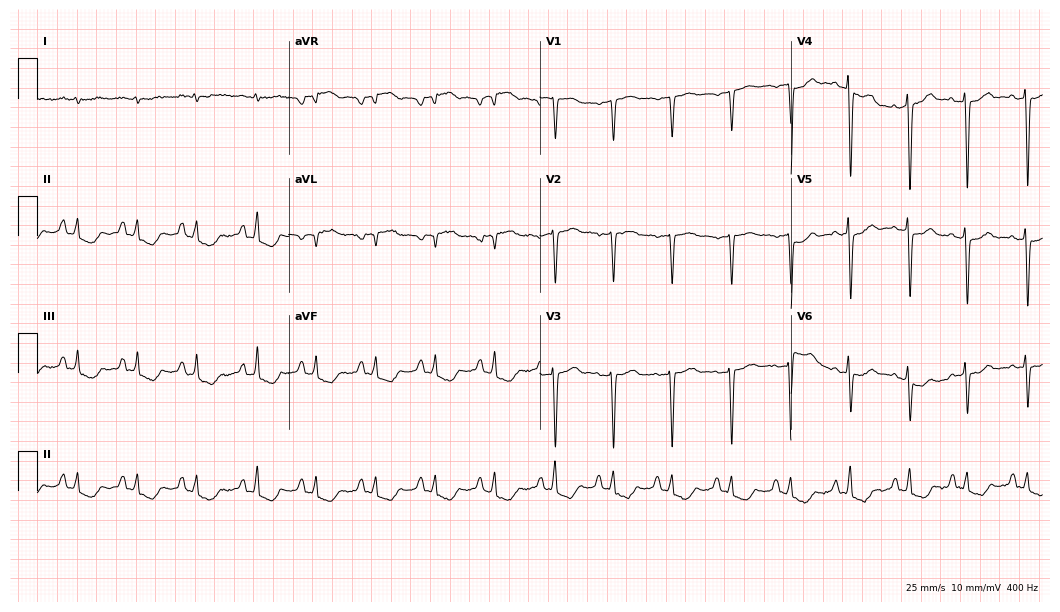
Resting 12-lead electrocardiogram. Patient: a male, 83 years old. None of these six findings is recorded: first-degree AV block, right bundle branch block, left bundle branch block, sinus bradycardia, atrial fibrillation, sinus tachycardia. Other findings, if any, are not listed.